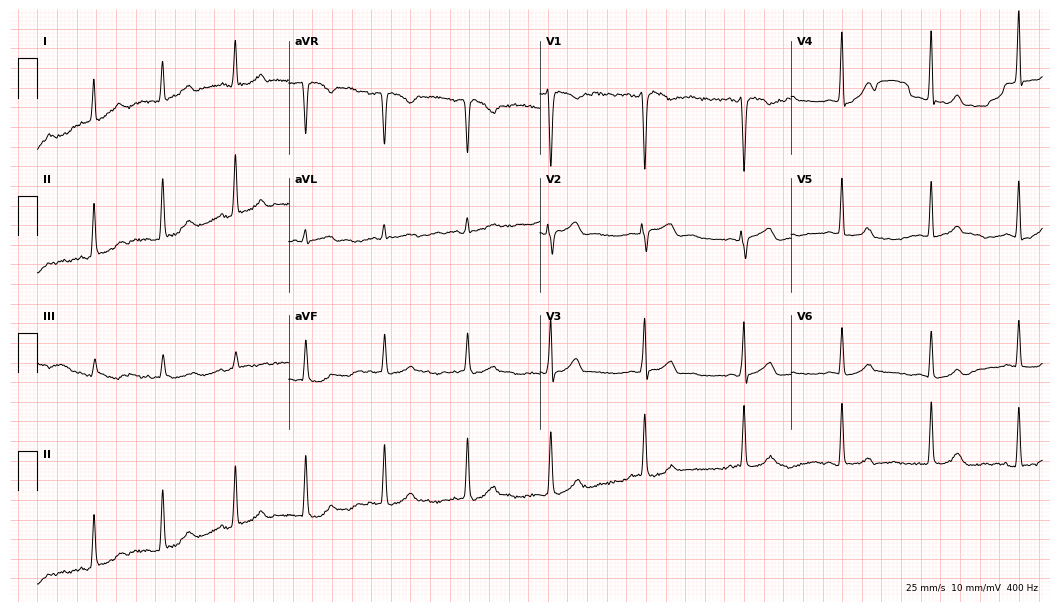
12-lead ECG from a female patient, 32 years old. Labelled as a normal ECG.